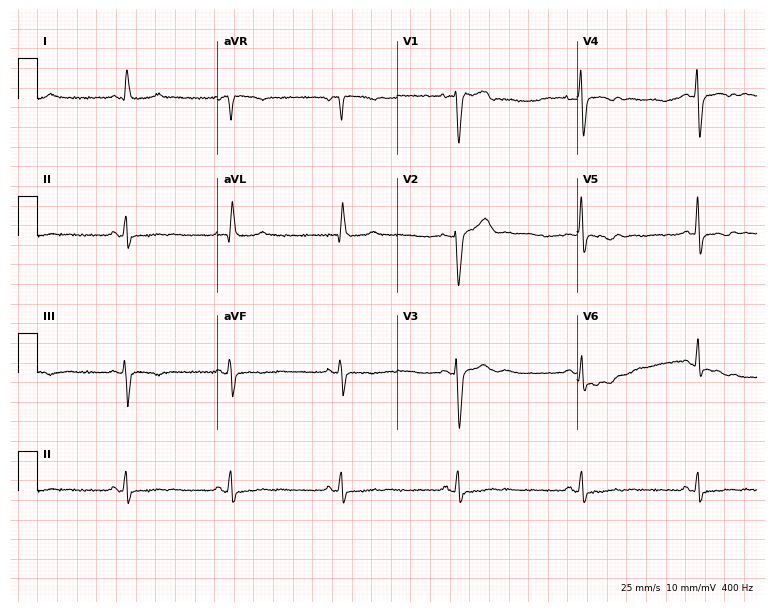
ECG (7.3-second recording at 400 Hz) — a man, 73 years old. Screened for six findings — first-degree AV block, right bundle branch block, left bundle branch block, sinus bradycardia, atrial fibrillation, sinus tachycardia — none is recorded. Other findings, if any, are not listed.